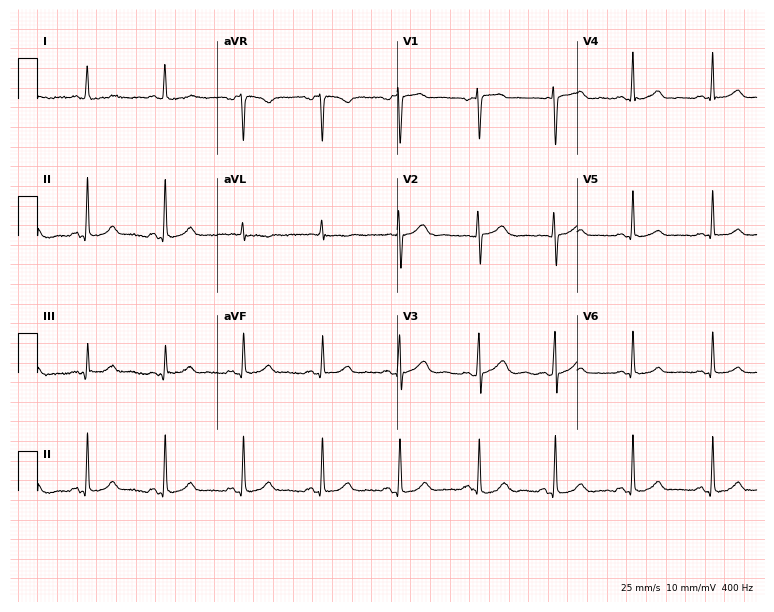
Standard 12-lead ECG recorded from a 49-year-old female patient. None of these six findings is recorded: first-degree AV block, right bundle branch block (RBBB), left bundle branch block (LBBB), sinus bradycardia, atrial fibrillation (AF), sinus tachycardia.